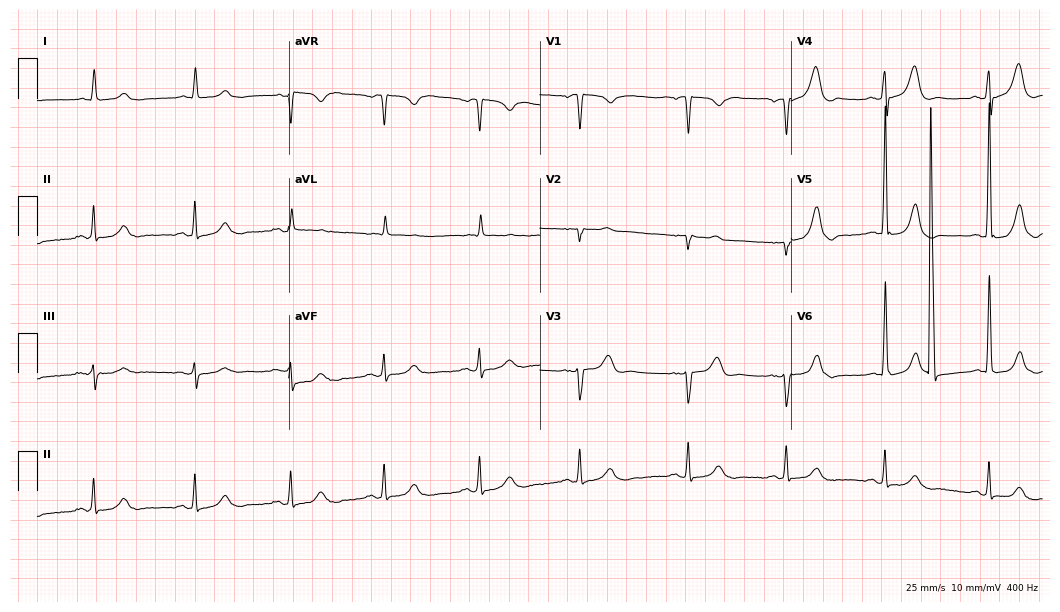
Resting 12-lead electrocardiogram. Patient: a male, 85 years old. Read as a normal ECG.